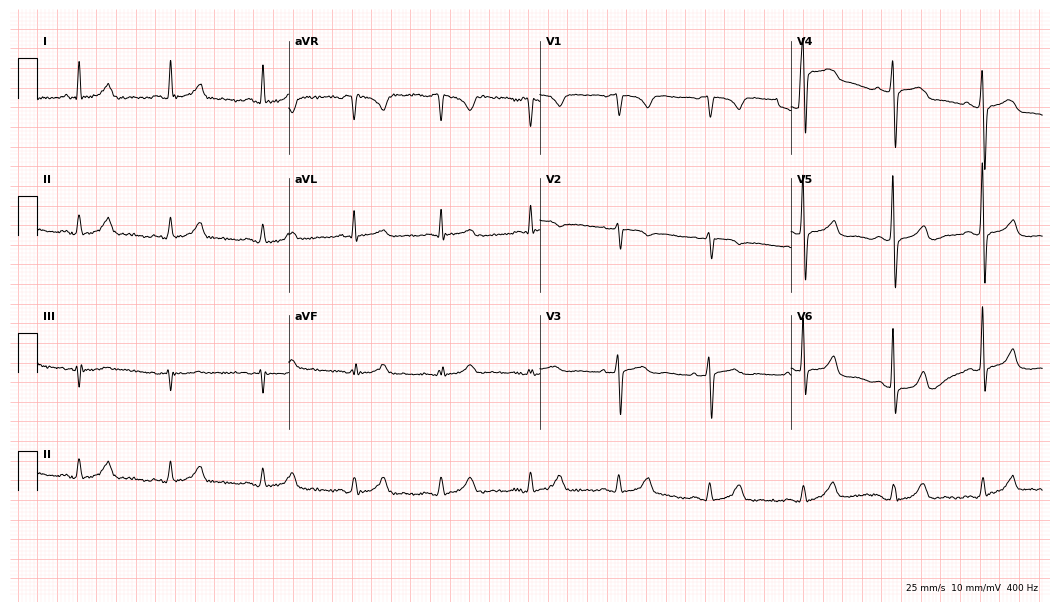
Electrocardiogram (10.2-second recording at 400 Hz), a female patient, 67 years old. Overall reading on record: normal ECG.